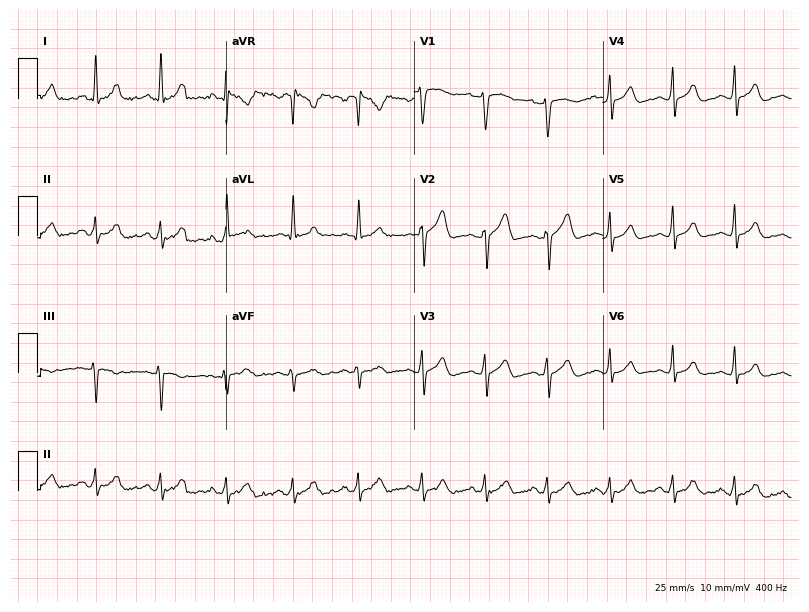
ECG — a 53-year-old male. Labelled as a normal ECG.